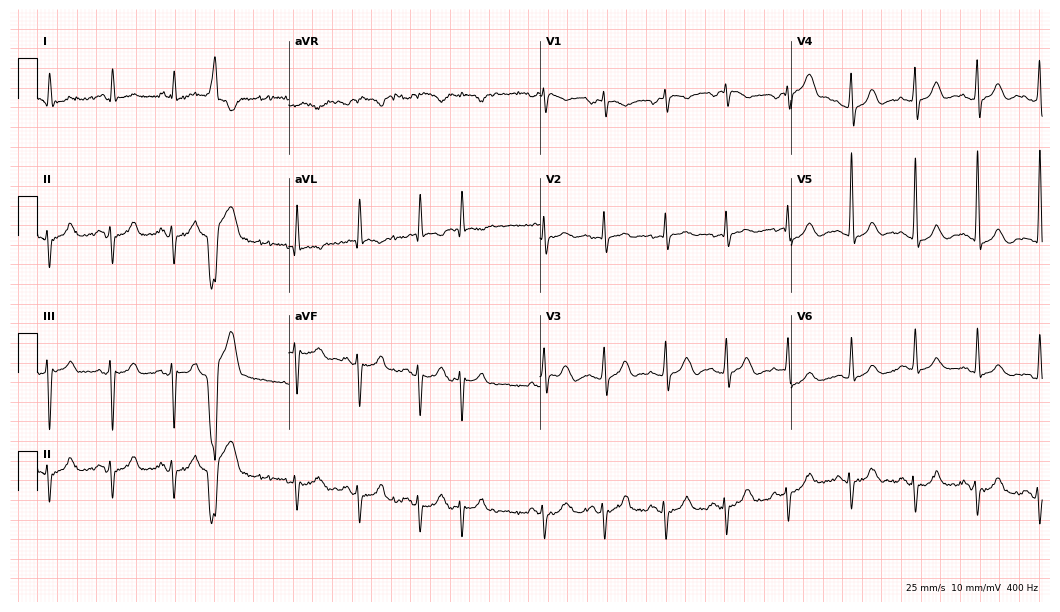
12-lead ECG from a 78-year-old male patient. Screened for six findings — first-degree AV block, right bundle branch block, left bundle branch block, sinus bradycardia, atrial fibrillation, sinus tachycardia — none is recorded.